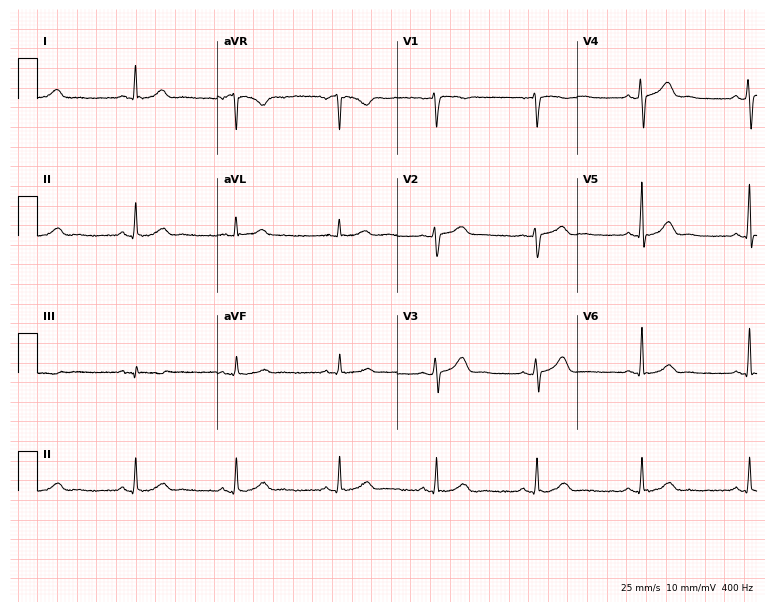
Resting 12-lead electrocardiogram. Patient: a 46-year-old female. Read as a normal ECG.